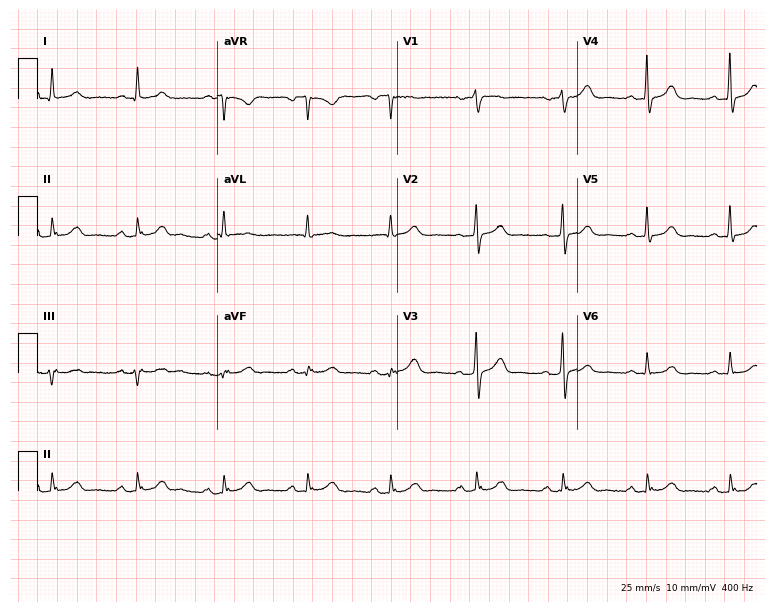
Standard 12-lead ECG recorded from a woman, 69 years old (7.3-second recording at 400 Hz). Read as a normal ECG.